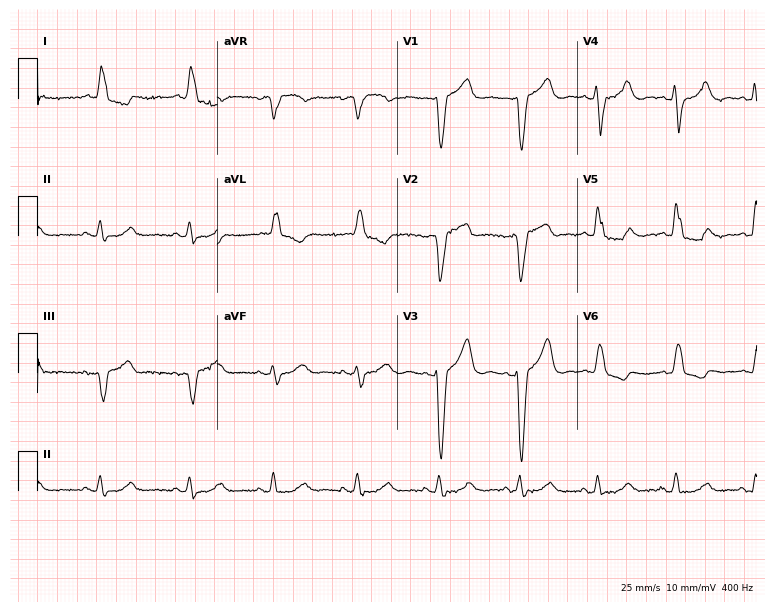
Standard 12-lead ECG recorded from a woman, 84 years old (7.3-second recording at 400 Hz). None of these six findings is recorded: first-degree AV block, right bundle branch block (RBBB), left bundle branch block (LBBB), sinus bradycardia, atrial fibrillation (AF), sinus tachycardia. Only these six findings were labelled.